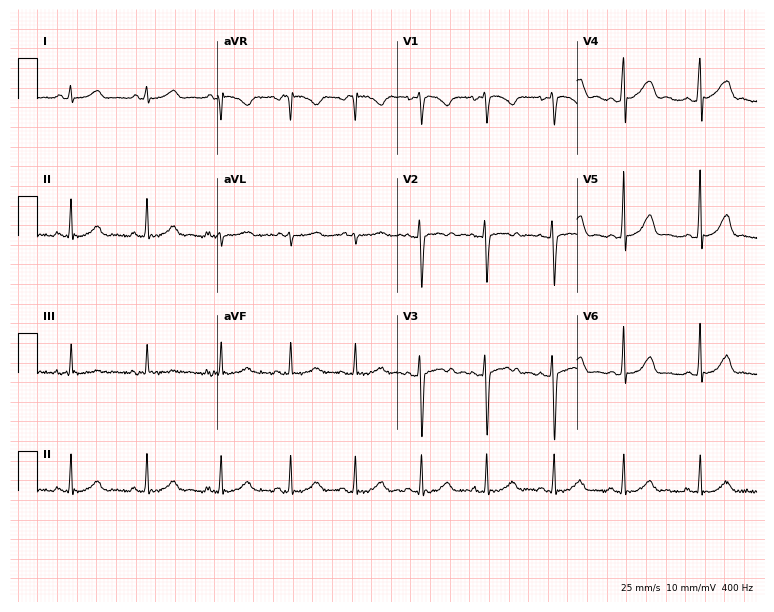
12-lead ECG from a 26-year-old female (7.3-second recording at 400 Hz). No first-degree AV block, right bundle branch block (RBBB), left bundle branch block (LBBB), sinus bradycardia, atrial fibrillation (AF) or sinus tachycardia recorded for this tracing. Other findings, if any, are not listed.